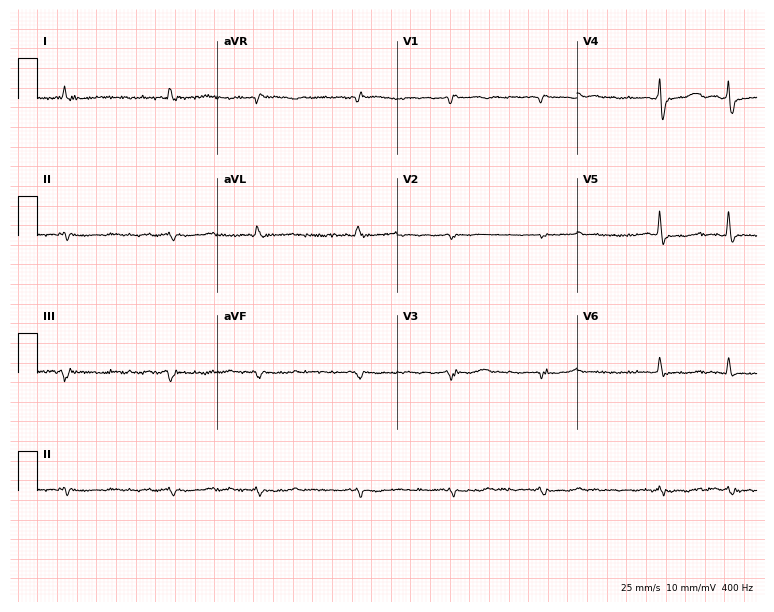
Electrocardiogram (7.3-second recording at 400 Hz), an 80-year-old female patient. Interpretation includes atrial fibrillation (AF).